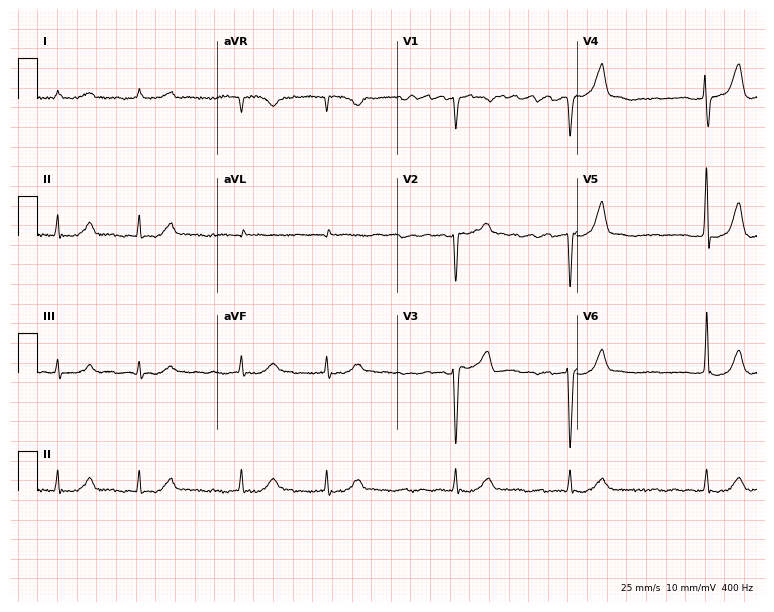
ECG (7.3-second recording at 400 Hz) — a 55-year-old male patient. Findings include atrial fibrillation (AF).